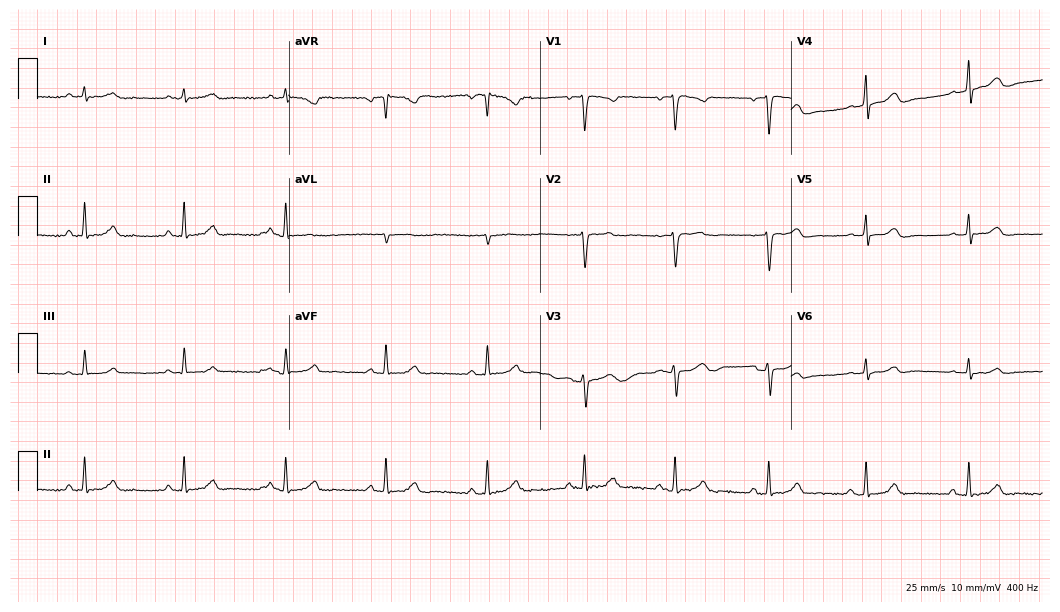
ECG — a female patient, 42 years old. Screened for six findings — first-degree AV block, right bundle branch block, left bundle branch block, sinus bradycardia, atrial fibrillation, sinus tachycardia — none is recorded.